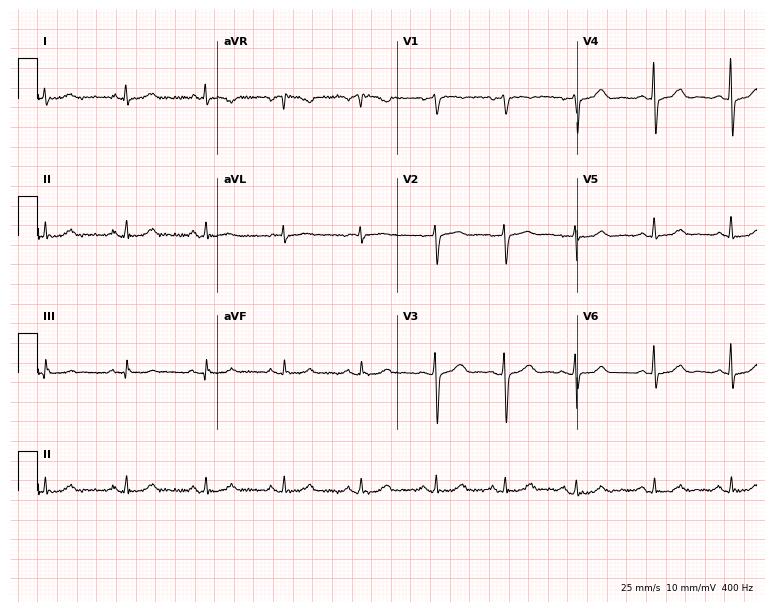
ECG — a 54-year-old woman. Labelled as a normal ECG.